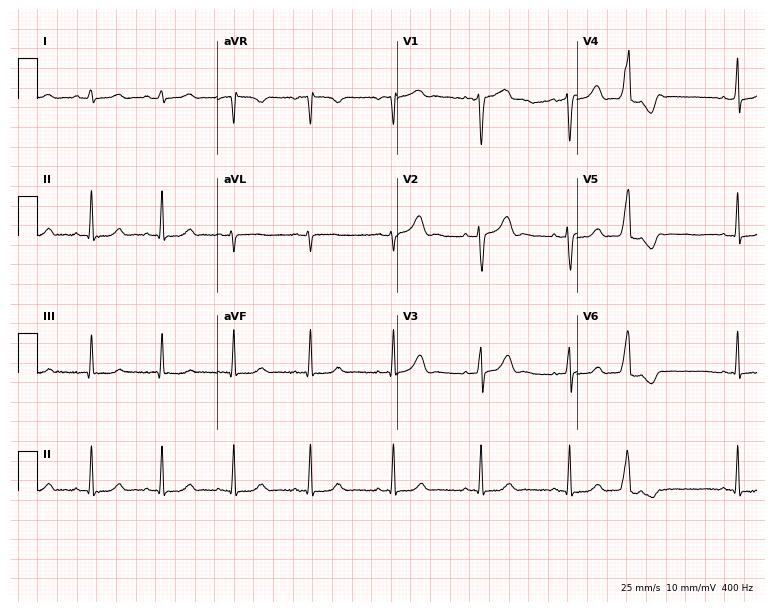
12-lead ECG from a female patient, 28 years old (7.3-second recording at 400 Hz). No first-degree AV block, right bundle branch block (RBBB), left bundle branch block (LBBB), sinus bradycardia, atrial fibrillation (AF) or sinus tachycardia recorded for this tracing.